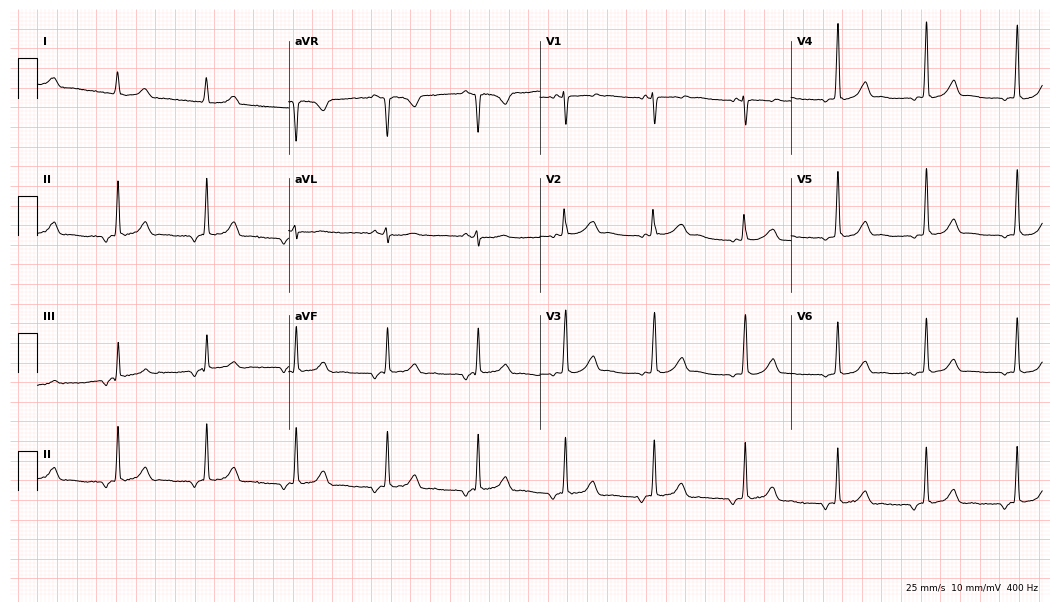
12-lead ECG from a woman, 24 years old. Screened for six findings — first-degree AV block, right bundle branch block, left bundle branch block, sinus bradycardia, atrial fibrillation, sinus tachycardia — none is recorded.